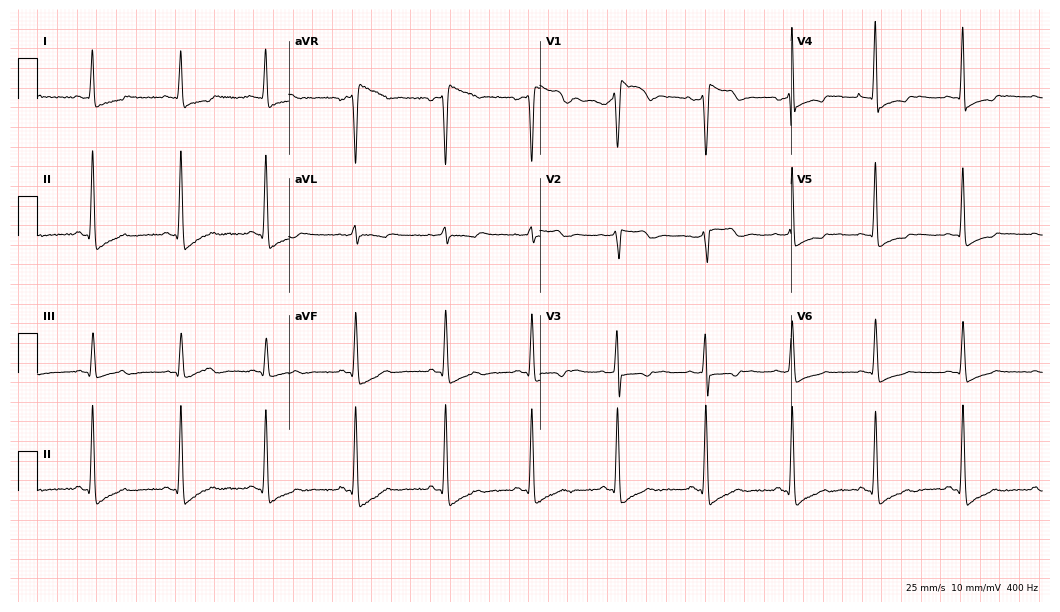
12-lead ECG from a woman, 40 years old. Screened for six findings — first-degree AV block, right bundle branch block (RBBB), left bundle branch block (LBBB), sinus bradycardia, atrial fibrillation (AF), sinus tachycardia — none is recorded.